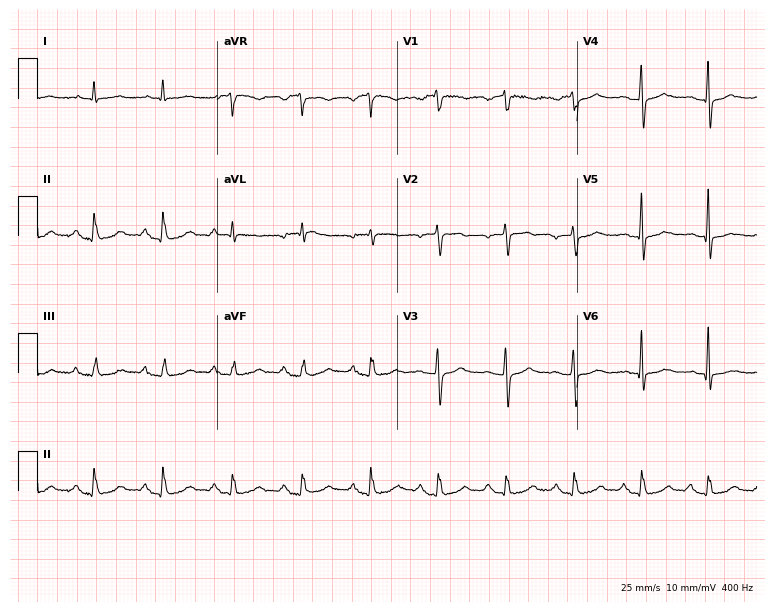
Standard 12-lead ECG recorded from an 84-year-old male. None of these six findings is recorded: first-degree AV block, right bundle branch block, left bundle branch block, sinus bradycardia, atrial fibrillation, sinus tachycardia.